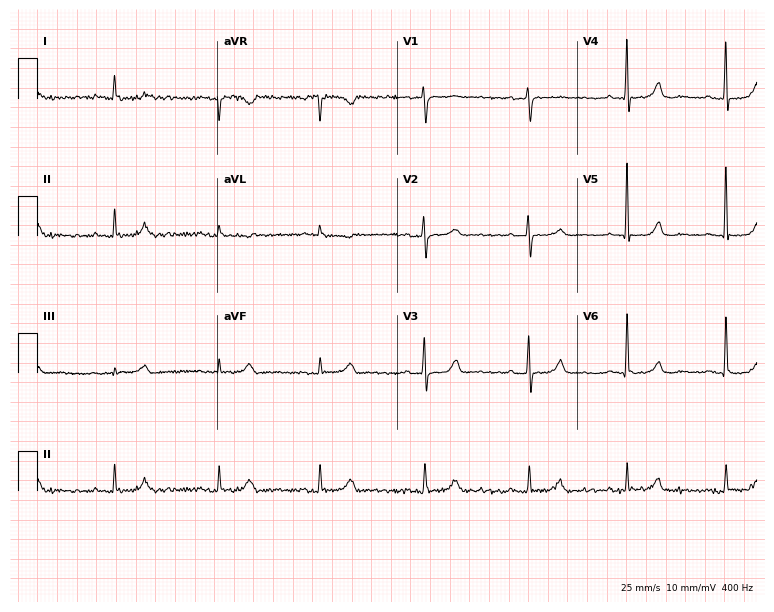
Electrocardiogram, a male patient, 82 years old. Of the six screened findings (first-degree AV block, right bundle branch block, left bundle branch block, sinus bradycardia, atrial fibrillation, sinus tachycardia), none is recorded. Findings outside these six are not listed.